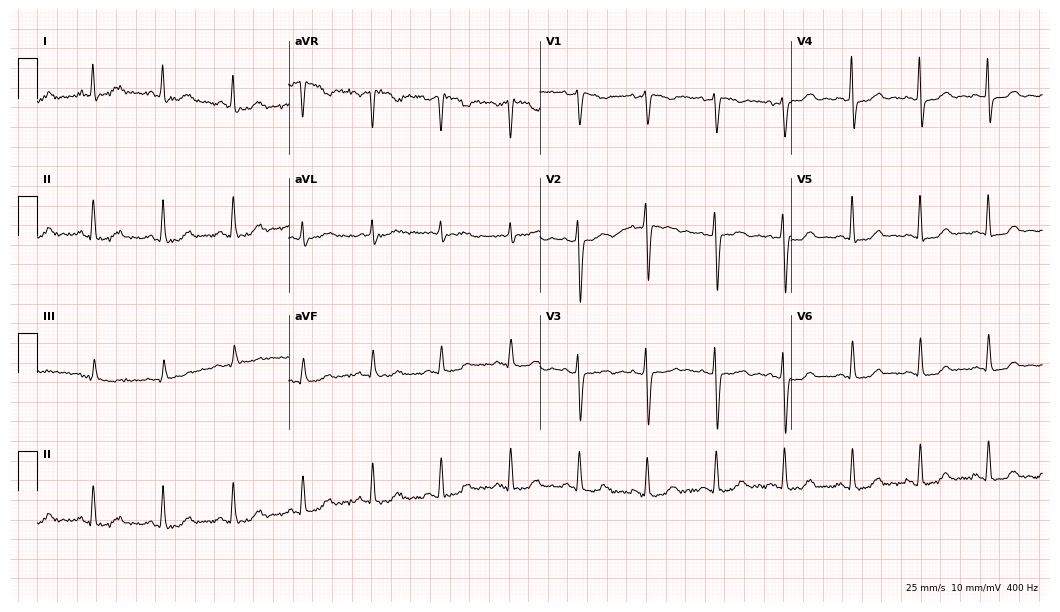
ECG (10.2-second recording at 400 Hz) — a woman, 54 years old. Labelled as a normal ECG.